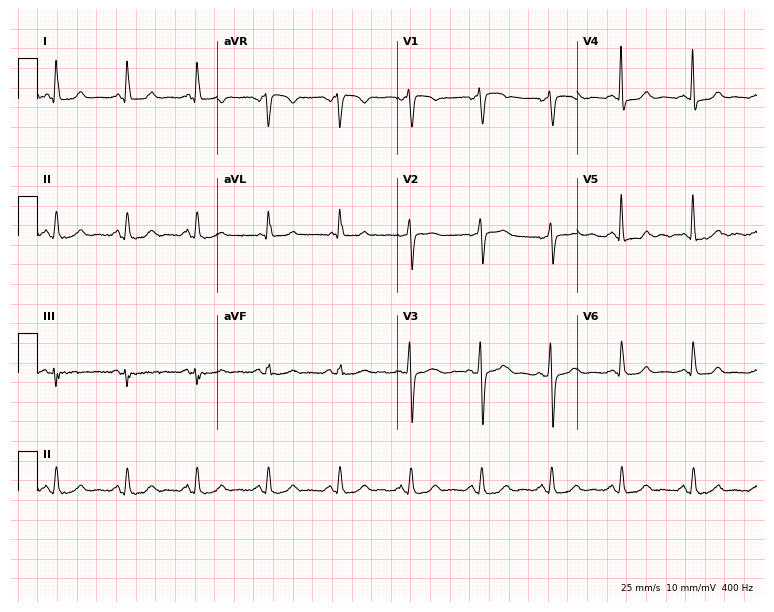
ECG — a 57-year-old female. Labelled as a normal ECG.